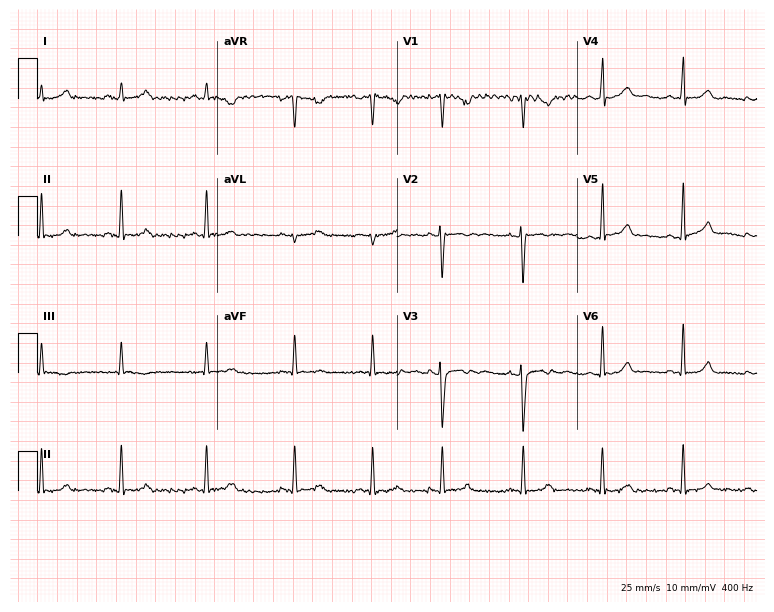
12-lead ECG from a 21-year-old female. Recorded interpretation: within normal limits.